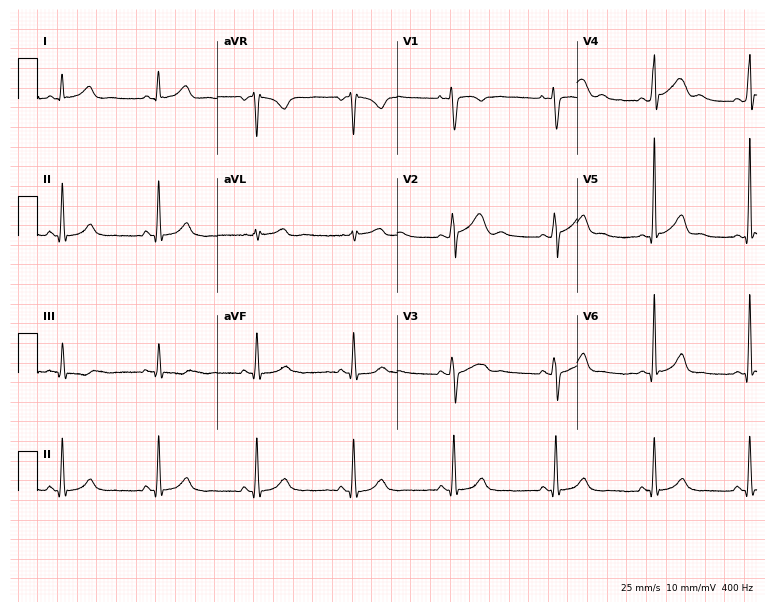
Standard 12-lead ECG recorded from a 33-year-old man. Read as a normal ECG.